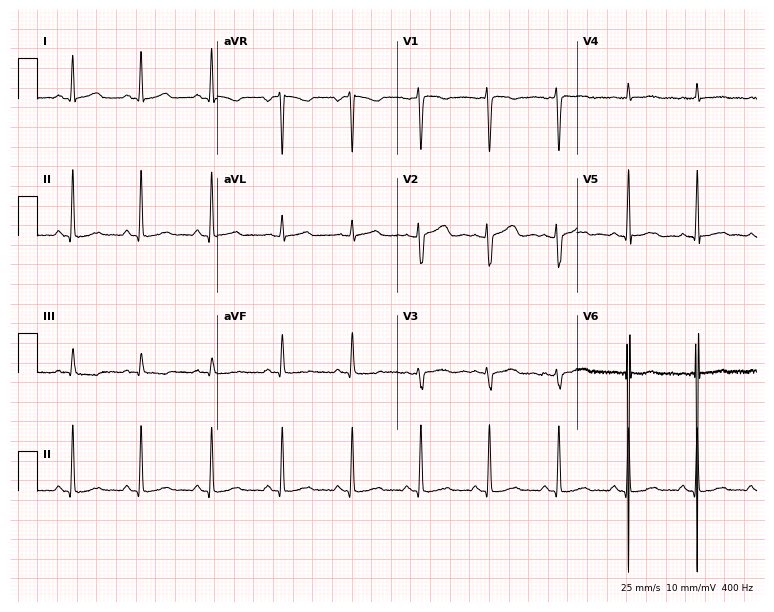
ECG (7.3-second recording at 400 Hz) — a female patient, 23 years old. Screened for six findings — first-degree AV block, right bundle branch block, left bundle branch block, sinus bradycardia, atrial fibrillation, sinus tachycardia — none is recorded. Other findings, if any, are not listed.